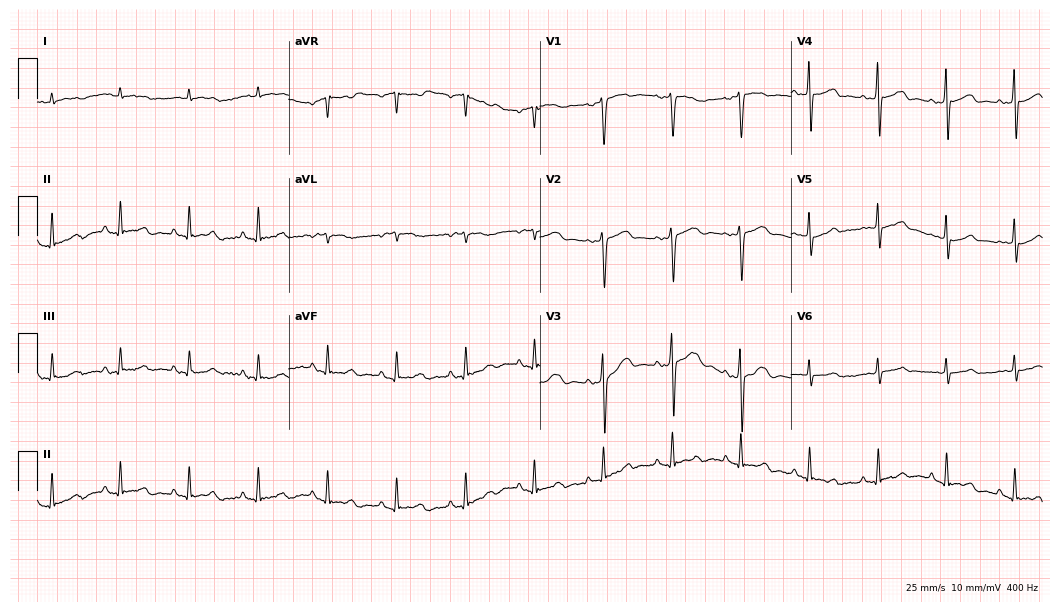
12-lead ECG from an 80-year-old male patient. Recorded interpretation: within normal limits.